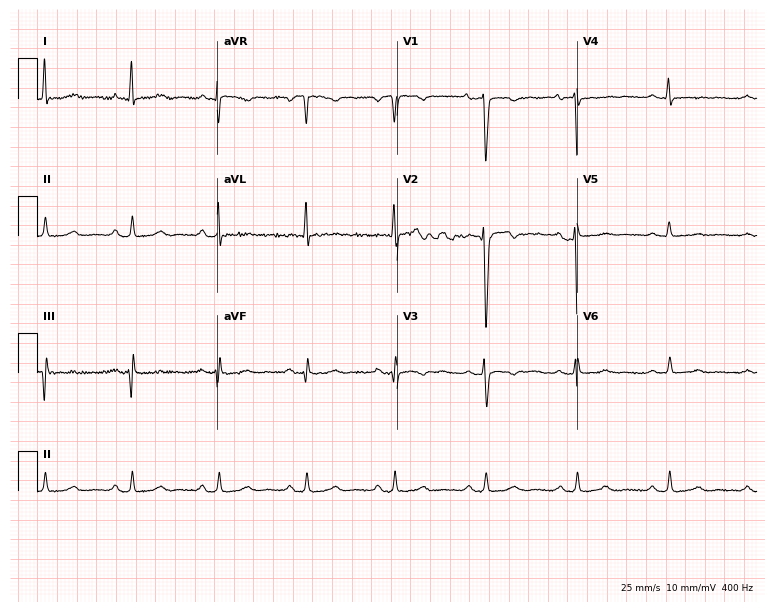
12-lead ECG from a female, 46 years old. Recorded interpretation: within normal limits.